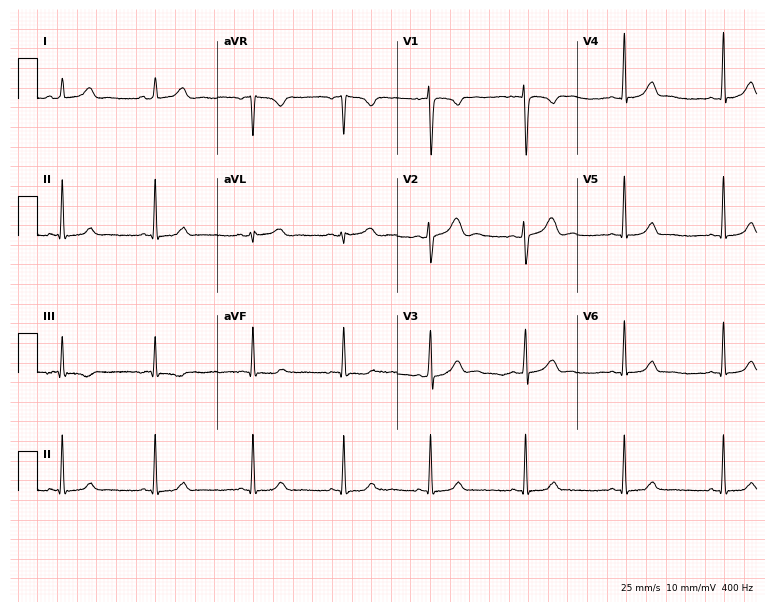
Standard 12-lead ECG recorded from a female, 18 years old (7.3-second recording at 400 Hz). Read as a normal ECG.